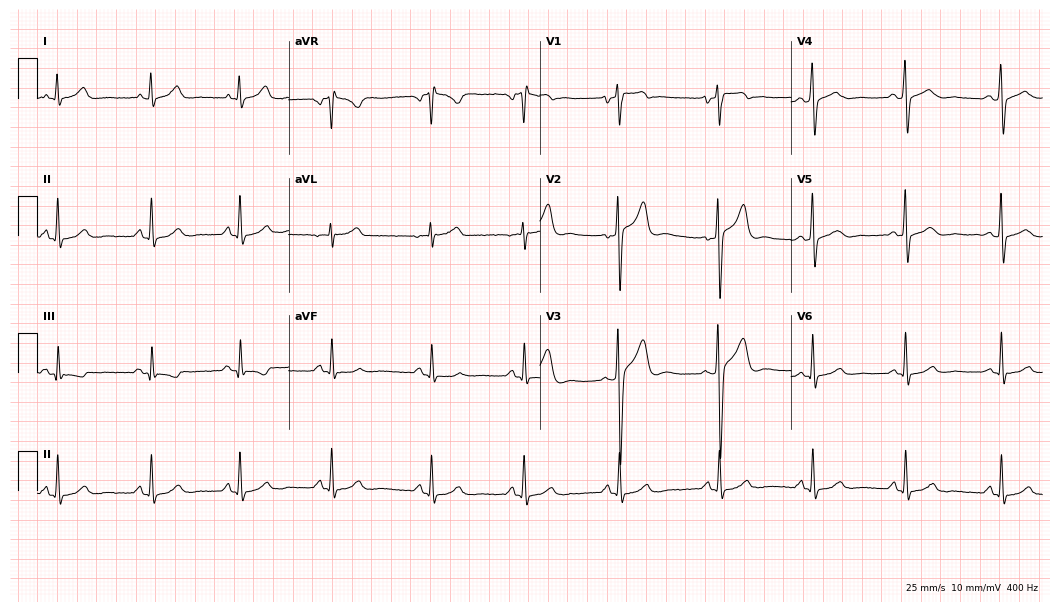
Electrocardiogram, a 24-year-old male patient. Overall reading on record: normal ECG.